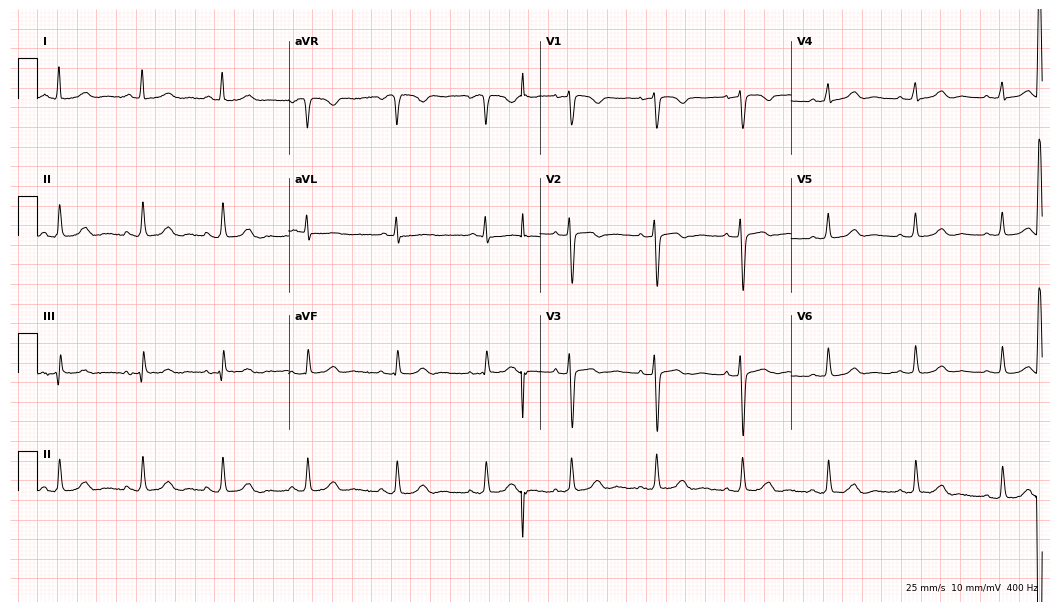
12-lead ECG from a female patient, 65 years old. Recorded interpretation: within normal limits.